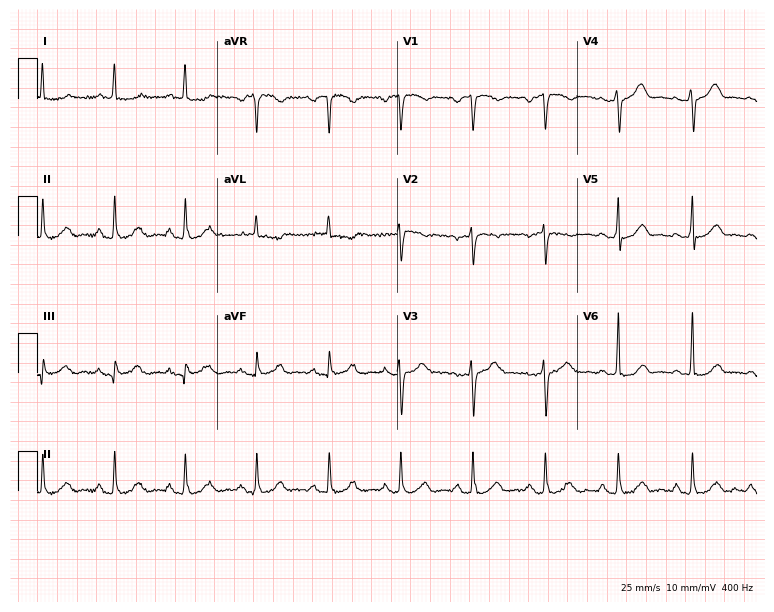
12-lead ECG from a 62-year-old male. Recorded interpretation: within normal limits.